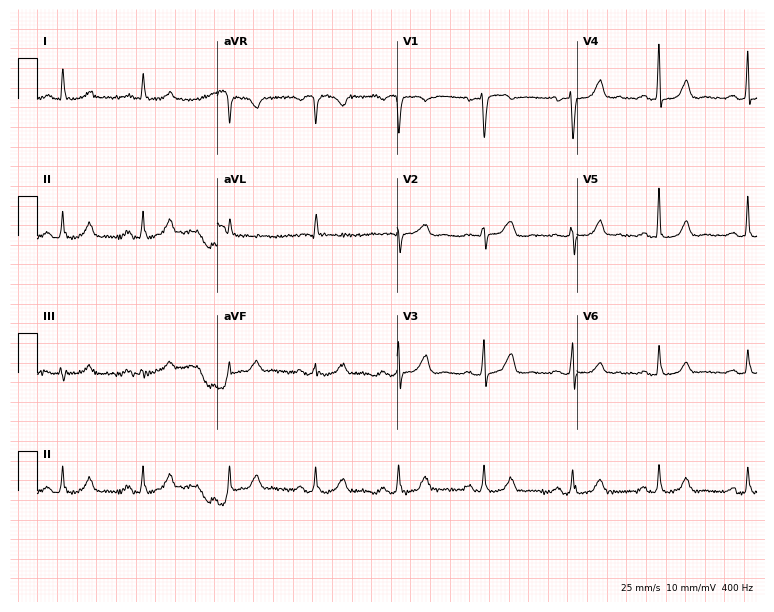
Resting 12-lead electrocardiogram (7.3-second recording at 400 Hz). Patient: a 66-year-old woman. None of these six findings is recorded: first-degree AV block, right bundle branch block, left bundle branch block, sinus bradycardia, atrial fibrillation, sinus tachycardia.